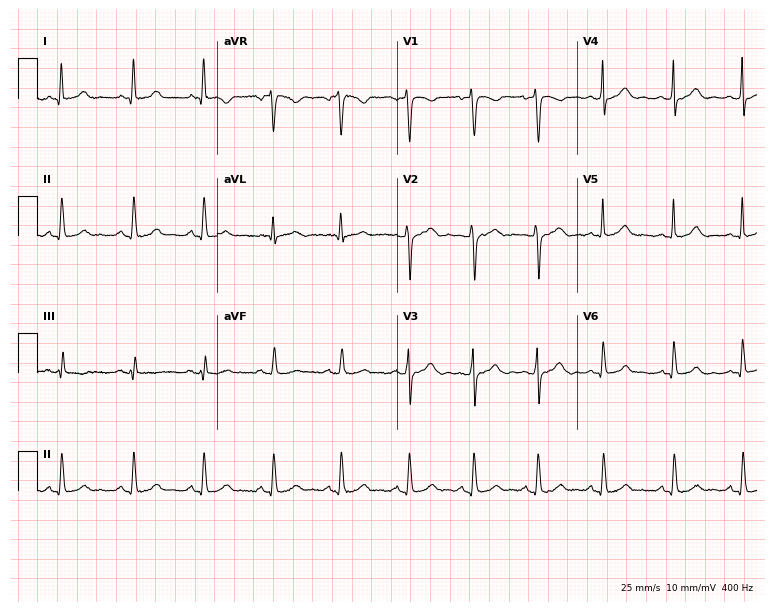
Electrocardiogram (7.3-second recording at 400 Hz), a 29-year-old female patient. Overall reading on record: normal ECG.